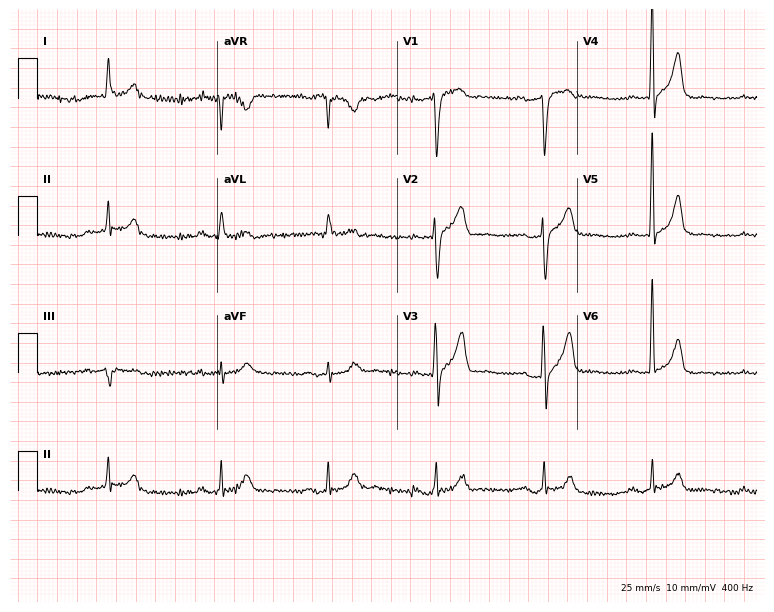
ECG — a male patient, 63 years old. Findings include first-degree AV block.